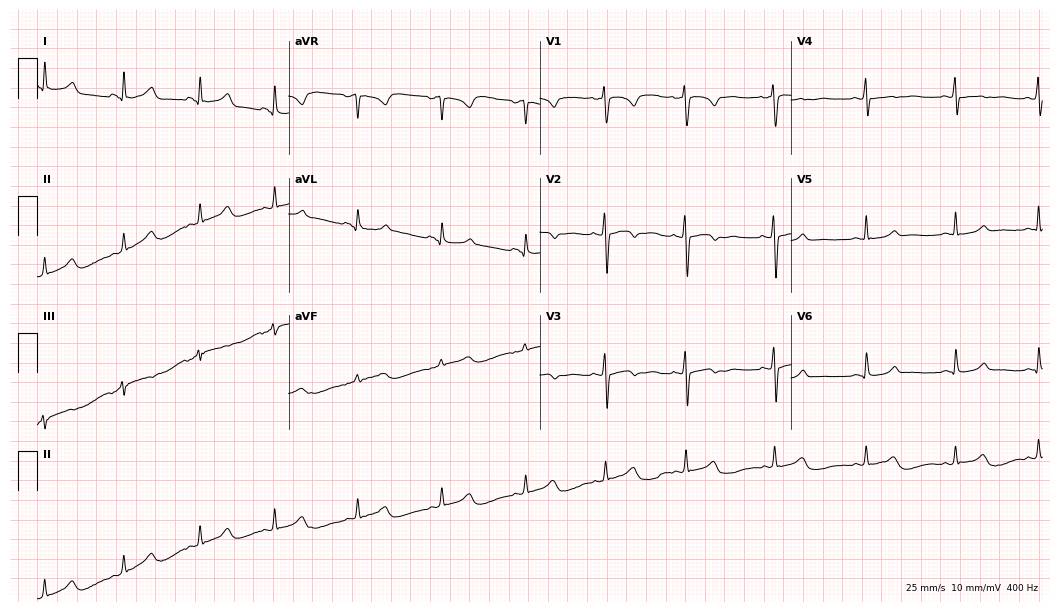
12-lead ECG (10.2-second recording at 400 Hz) from a 35-year-old female patient. Labelled as a normal ECG.